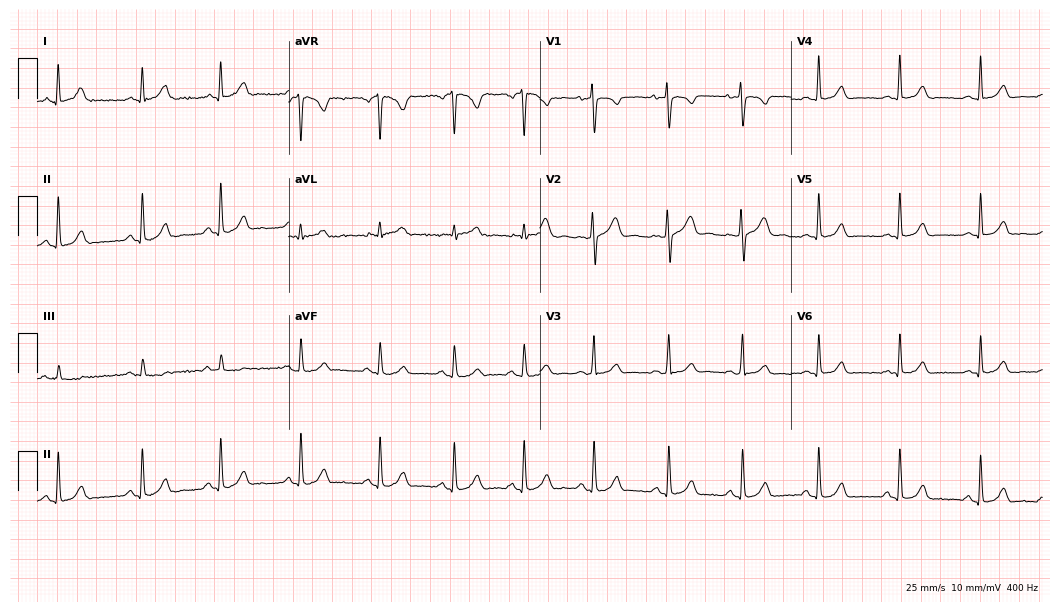
12-lead ECG from a female, 21 years old. Labelled as a normal ECG.